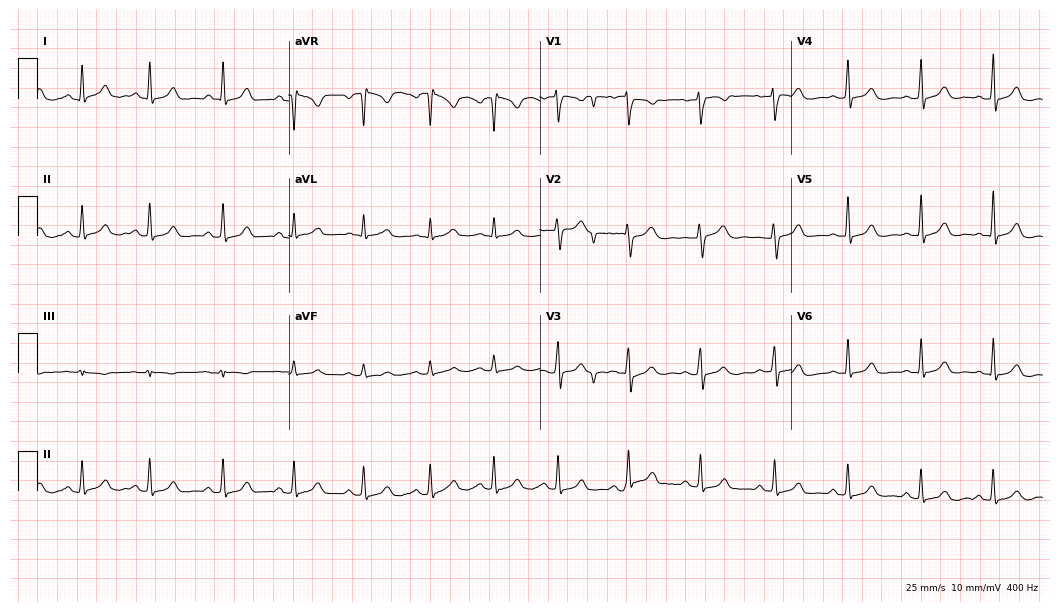
Standard 12-lead ECG recorded from a woman, 34 years old. Read as a normal ECG.